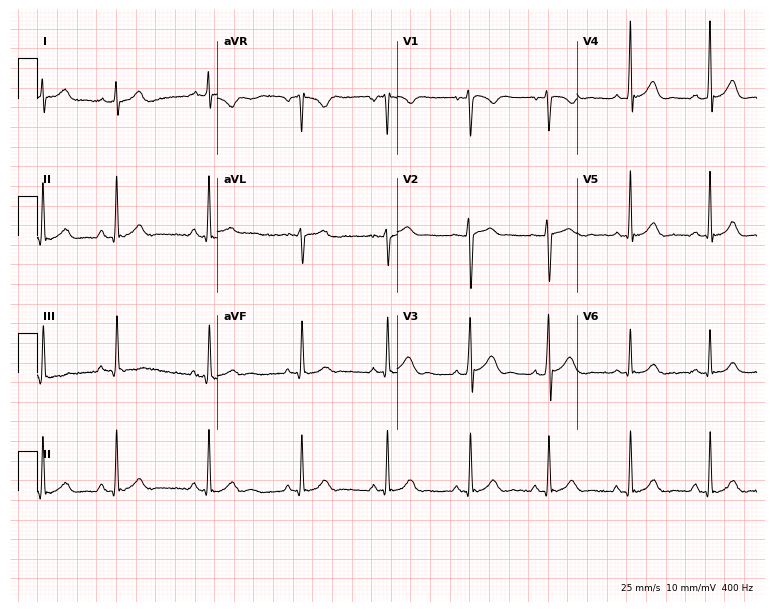
12-lead ECG (7.3-second recording at 400 Hz) from a male, 23 years old. Labelled as a normal ECG.